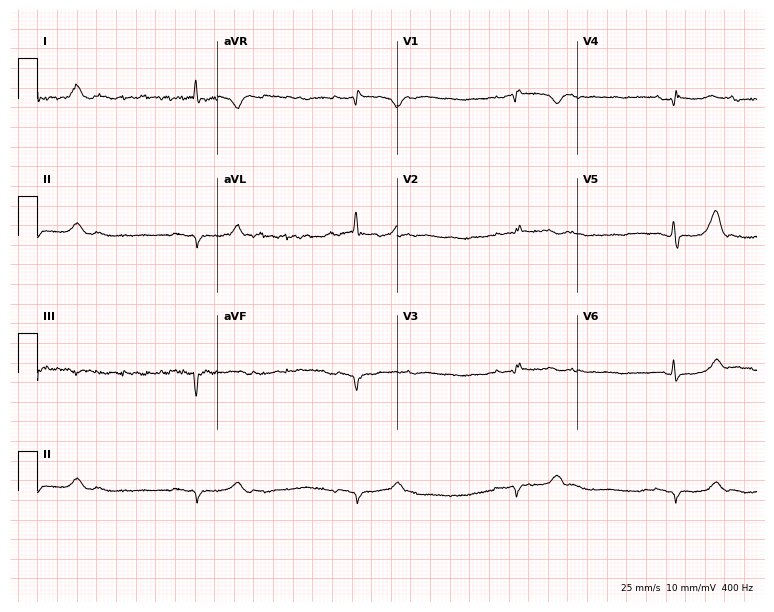
12-lead ECG from a woman, 80 years old. No first-degree AV block, right bundle branch block (RBBB), left bundle branch block (LBBB), sinus bradycardia, atrial fibrillation (AF) or sinus tachycardia recorded for this tracing. Other findings, if any, are not listed.